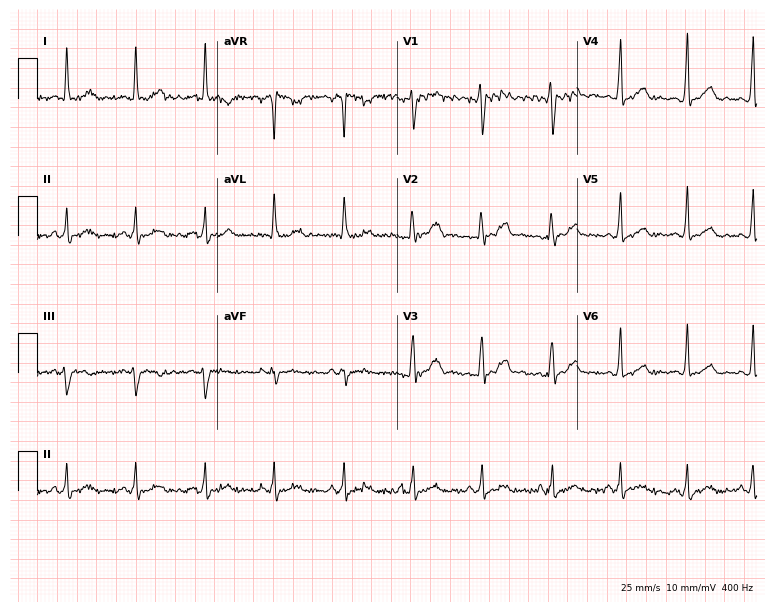
Electrocardiogram, a 47-year-old female patient. Of the six screened findings (first-degree AV block, right bundle branch block, left bundle branch block, sinus bradycardia, atrial fibrillation, sinus tachycardia), none is recorded. Only these six findings were labelled.